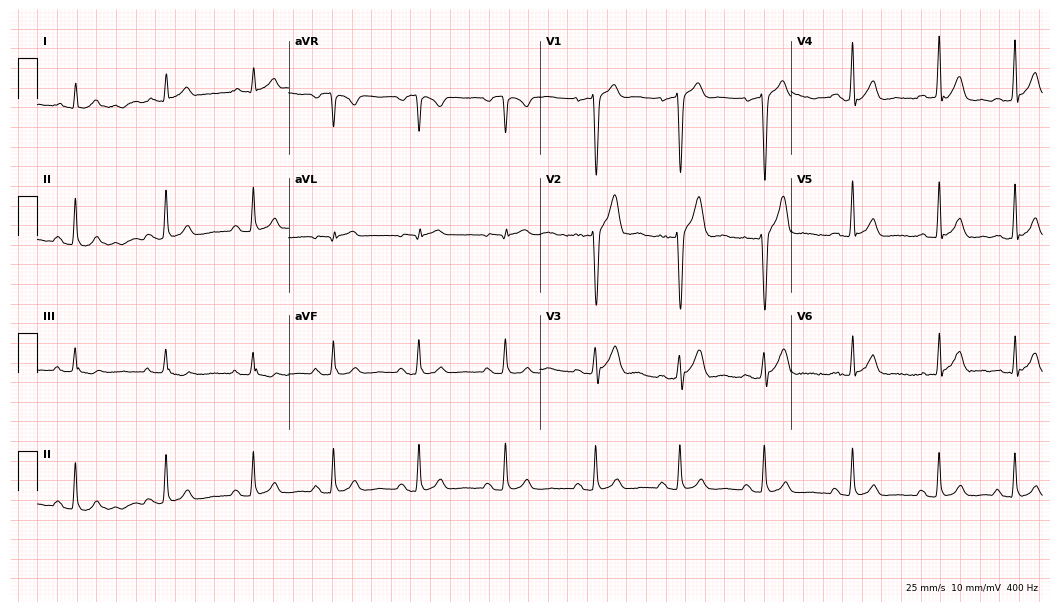
12-lead ECG (10.2-second recording at 400 Hz) from a 34-year-old male. Labelled as a normal ECG.